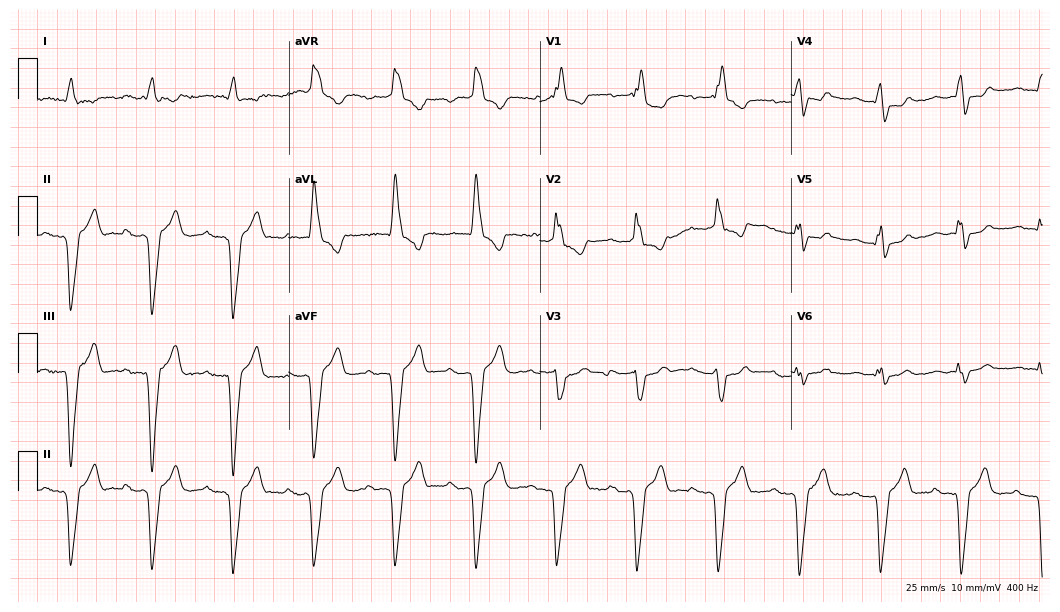
ECG (10.2-second recording at 400 Hz) — a 72-year-old male. Findings include first-degree AV block, right bundle branch block.